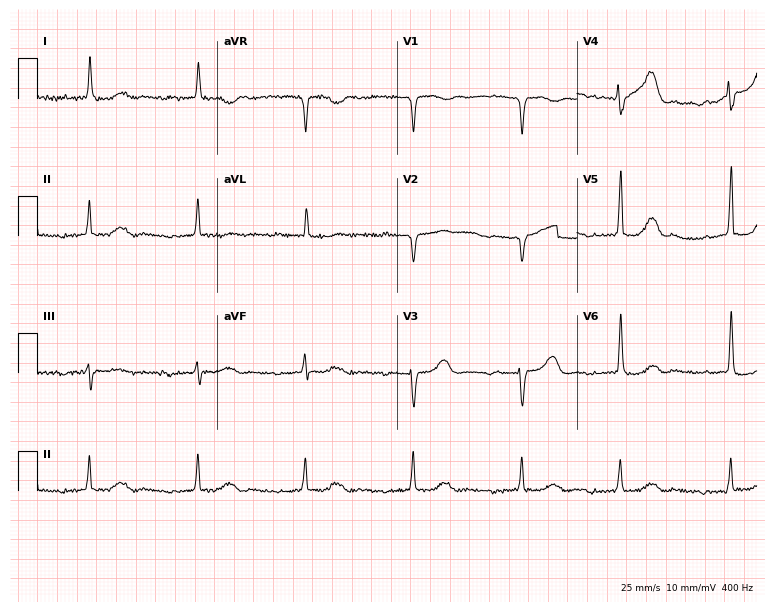
Electrocardiogram, a female, 81 years old. Interpretation includes first-degree AV block.